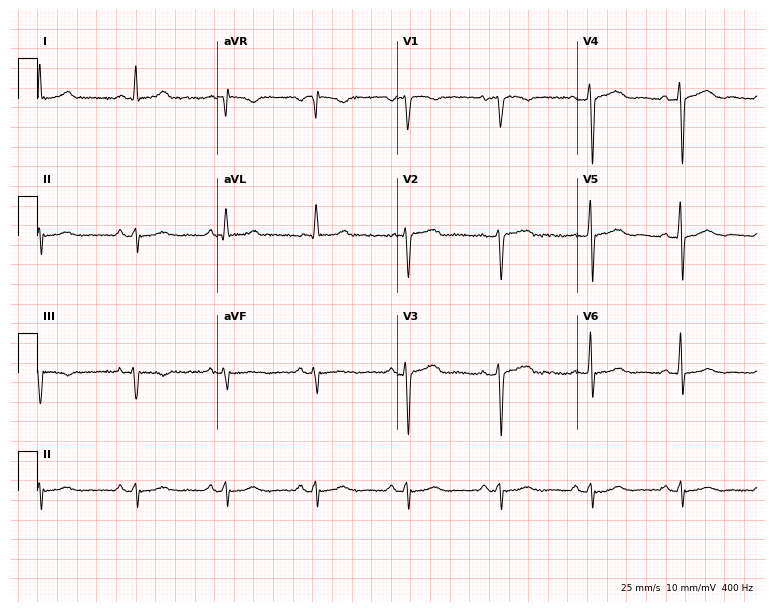
ECG (7.3-second recording at 400 Hz) — a female, 58 years old. Screened for six findings — first-degree AV block, right bundle branch block (RBBB), left bundle branch block (LBBB), sinus bradycardia, atrial fibrillation (AF), sinus tachycardia — none is recorded. Only these six findings were labelled.